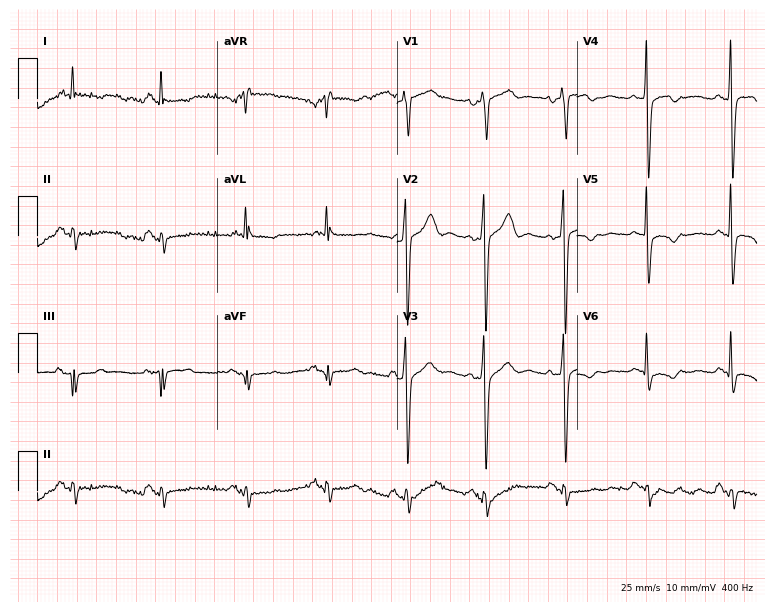
Electrocardiogram, a 54-year-old man. Of the six screened findings (first-degree AV block, right bundle branch block (RBBB), left bundle branch block (LBBB), sinus bradycardia, atrial fibrillation (AF), sinus tachycardia), none is recorded. Only these six findings were labelled.